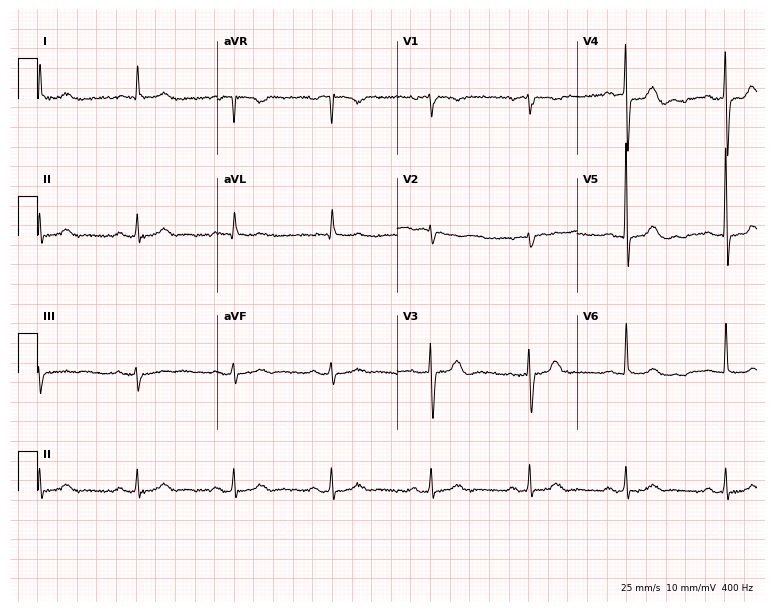
Resting 12-lead electrocardiogram. Patient: a male, 64 years old. Read as a normal ECG.